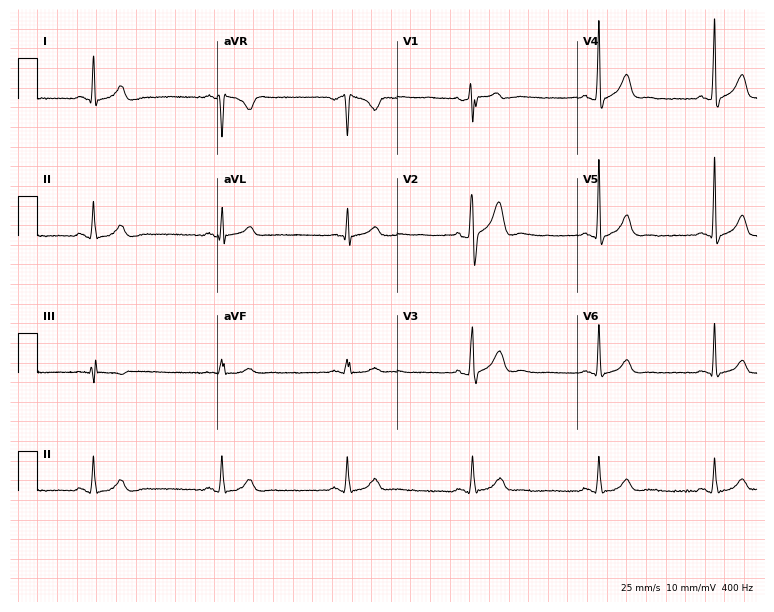
Resting 12-lead electrocardiogram. Patient: a male, 53 years old. The tracing shows sinus bradycardia (a sinus rate of 50 beats per minute or less).